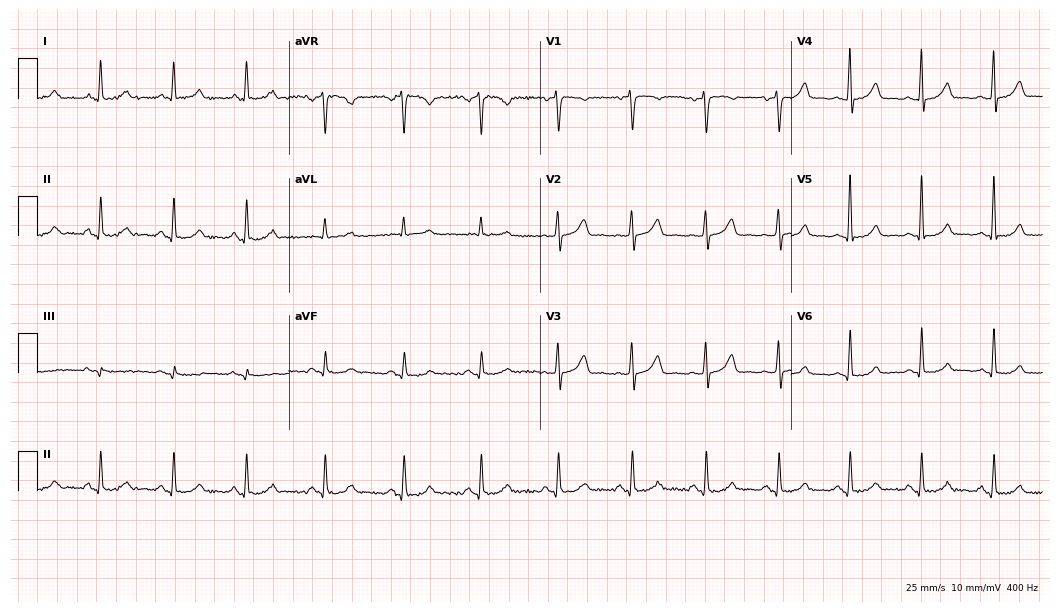
ECG — a 44-year-old female. Screened for six findings — first-degree AV block, right bundle branch block, left bundle branch block, sinus bradycardia, atrial fibrillation, sinus tachycardia — none is recorded. Only these six findings were labelled.